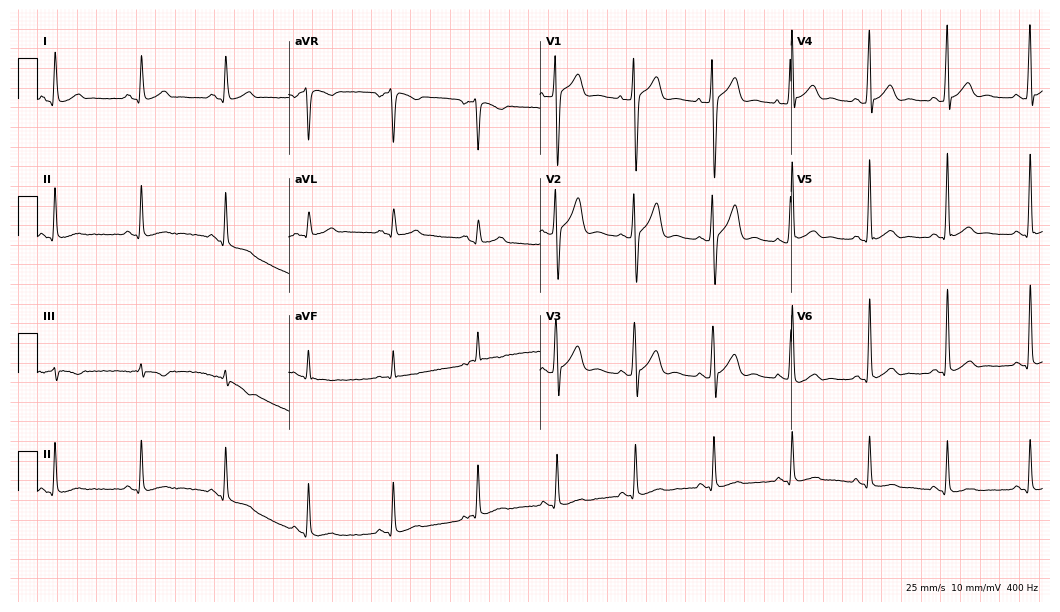
ECG — a 26-year-old man. Labelled as a normal ECG.